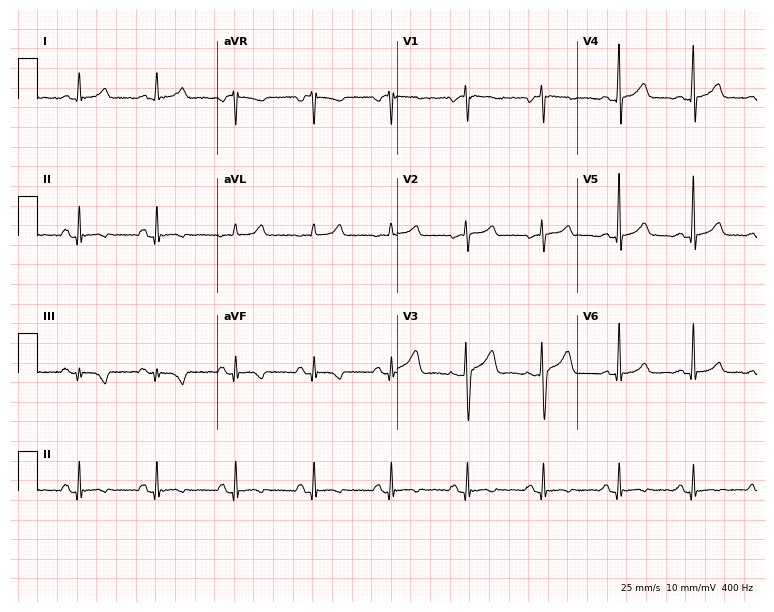
12-lead ECG from a female patient, 39 years old (7.3-second recording at 400 Hz). No first-degree AV block, right bundle branch block (RBBB), left bundle branch block (LBBB), sinus bradycardia, atrial fibrillation (AF) or sinus tachycardia recorded for this tracing. Only these six findings were labelled.